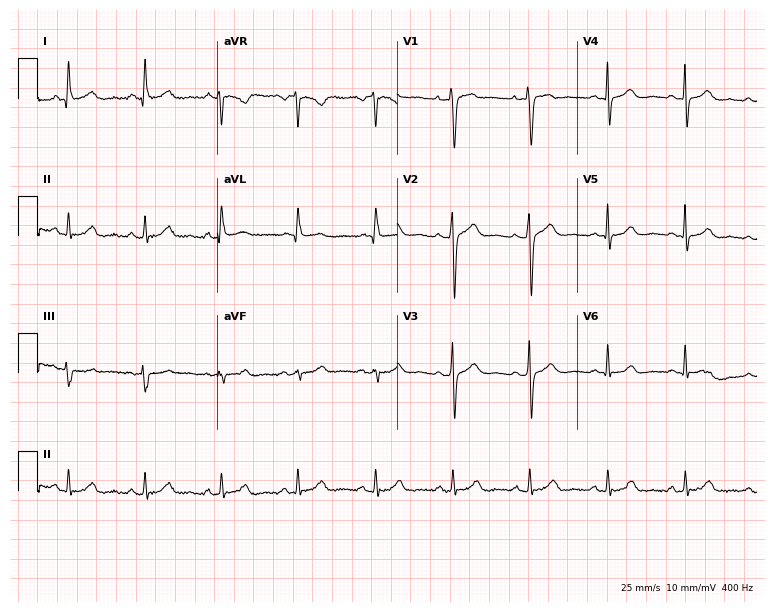
Standard 12-lead ECG recorded from a female patient, 55 years old. None of these six findings is recorded: first-degree AV block, right bundle branch block (RBBB), left bundle branch block (LBBB), sinus bradycardia, atrial fibrillation (AF), sinus tachycardia.